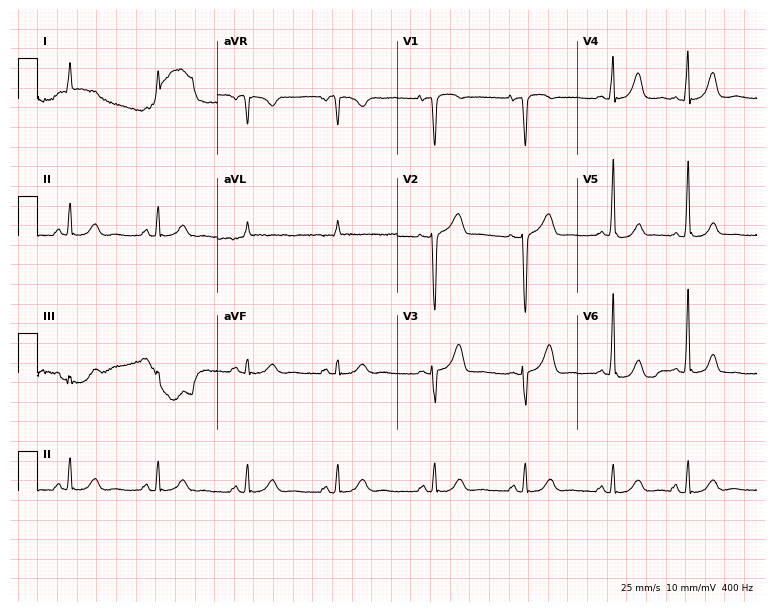
ECG — a female patient, 58 years old. Labelled as a normal ECG.